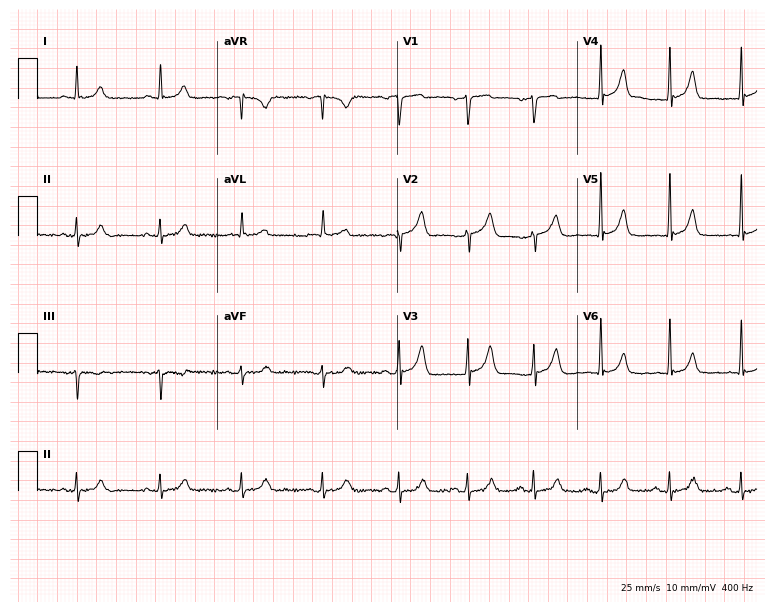
Resting 12-lead electrocardiogram (7.3-second recording at 400 Hz). Patient: a 63-year-old man. None of these six findings is recorded: first-degree AV block, right bundle branch block, left bundle branch block, sinus bradycardia, atrial fibrillation, sinus tachycardia.